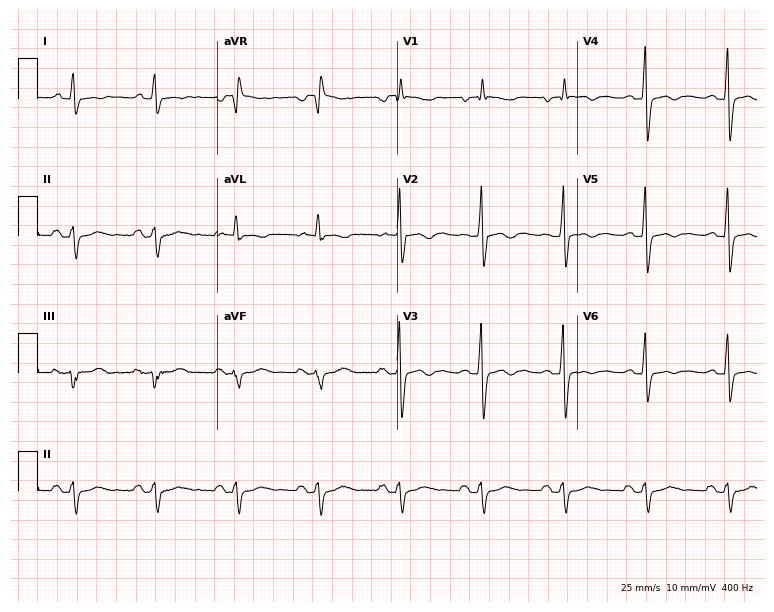
Electrocardiogram, a woman, 81 years old. Of the six screened findings (first-degree AV block, right bundle branch block (RBBB), left bundle branch block (LBBB), sinus bradycardia, atrial fibrillation (AF), sinus tachycardia), none is recorded. Other findings, if any, are not listed.